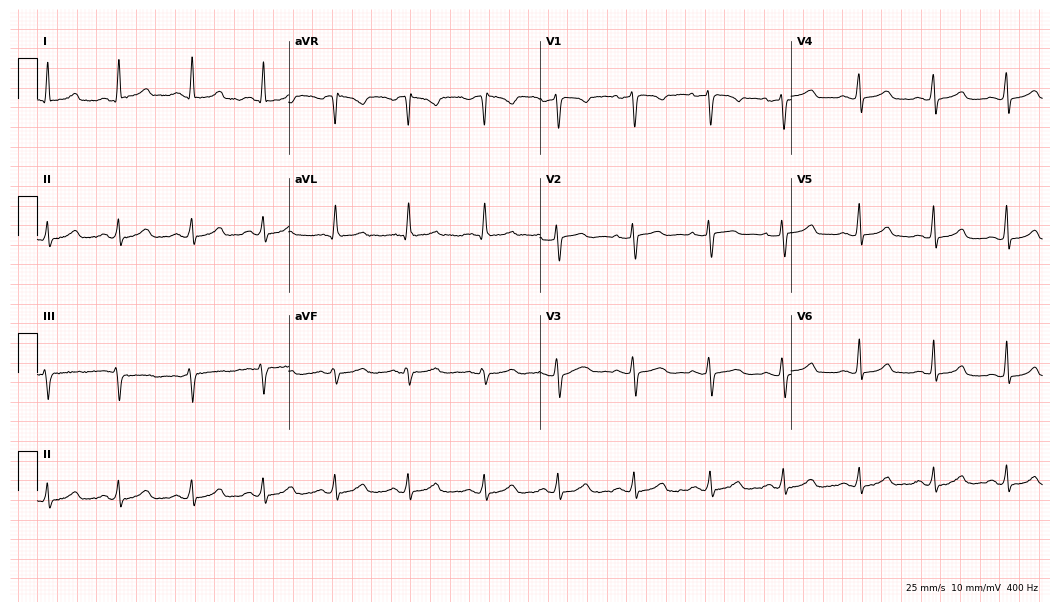
ECG — a female, 38 years old. Labelled as a normal ECG.